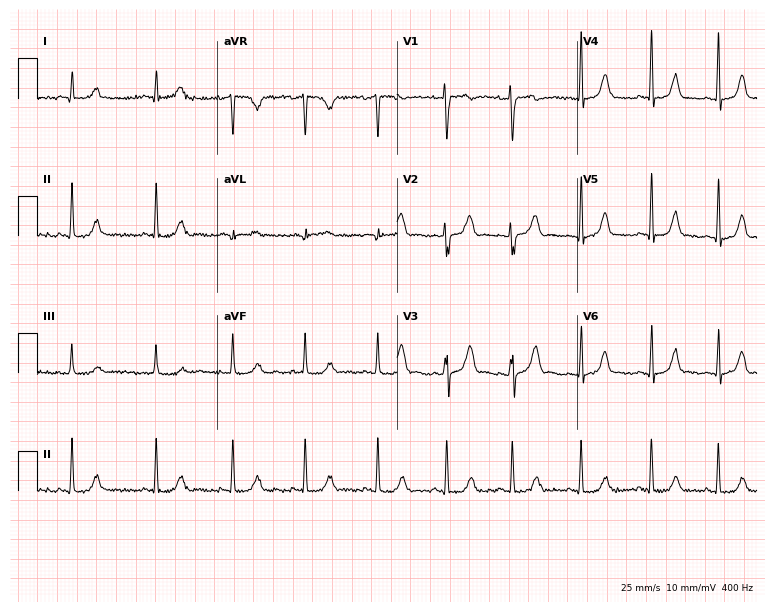
12-lead ECG from a woman, 31 years old. Screened for six findings — first-degree AV block, right bundle branch block, left bundle branch block, sinus bradycardia, atrial fibrillation, sinus tachycardia — none is recorded.